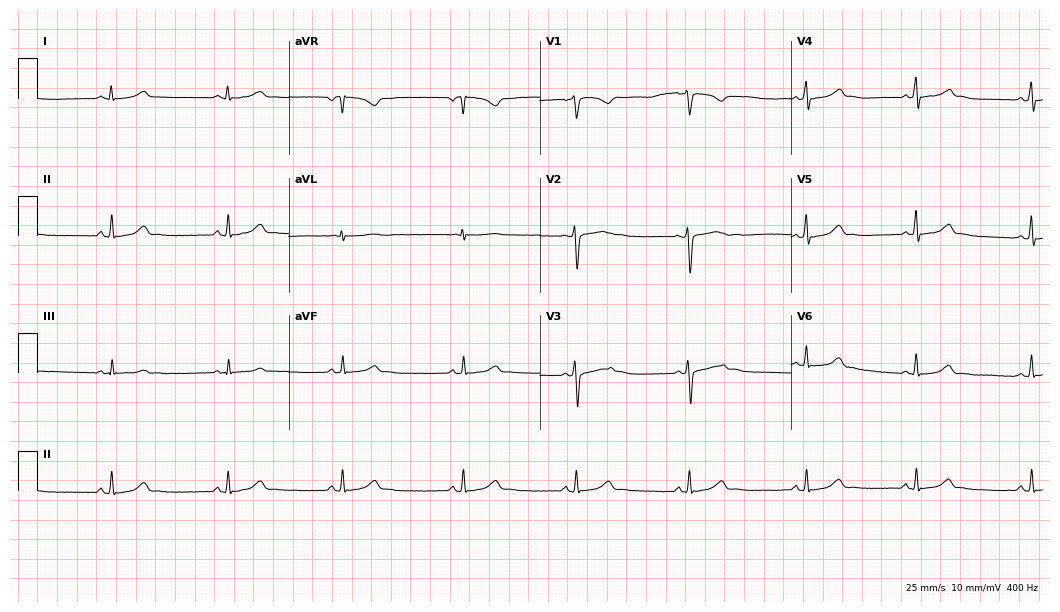
12-lead ECG from a 34-year-old woman. Recorded interpretation: within normal limits.